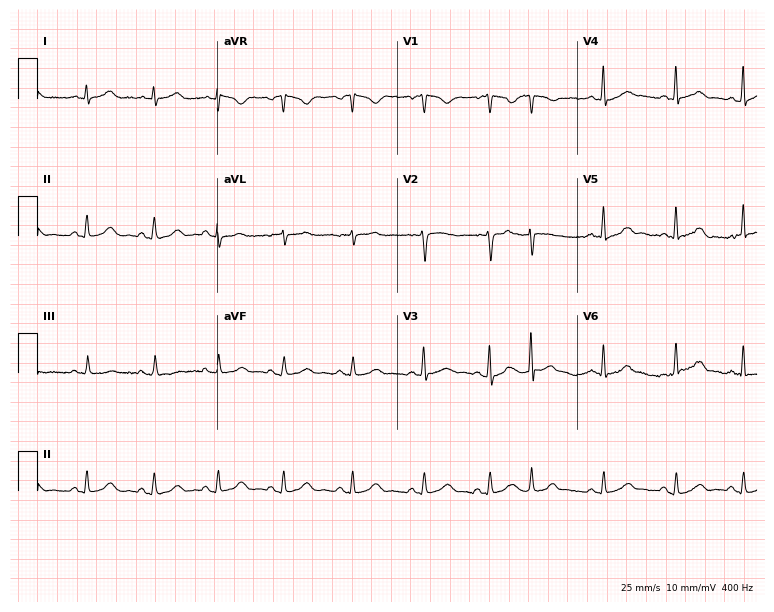
Electrocardiogram, a 29-year-old woman. Of the six screened findings (first-degree AV block, right bundle branch block (RBBB), left bundle branch block (LBBB), sinus bradycardia, atrial fibrillation (AF), sinus tachycardia), none is recorded. Findings outside these six are not listed.